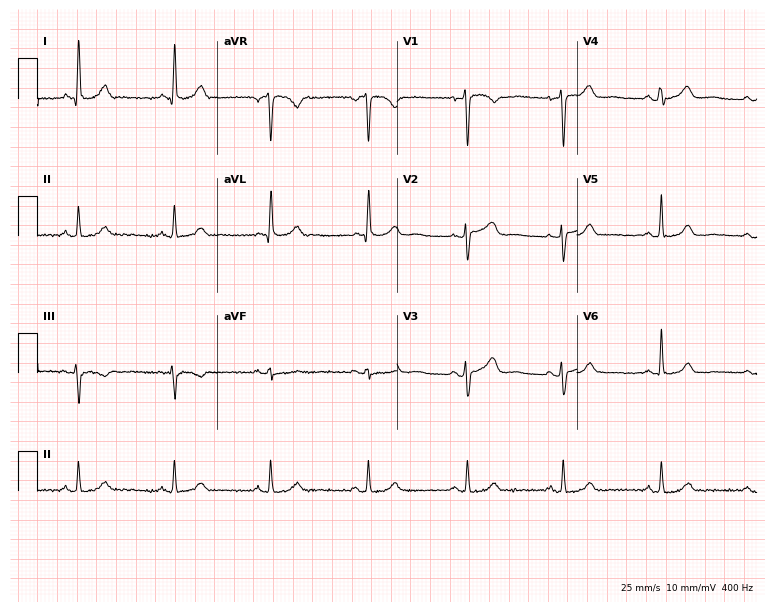
ECG (7.3-second recording at 400 Hz) — a 46-year-old female. Labelled as a normal ECG.